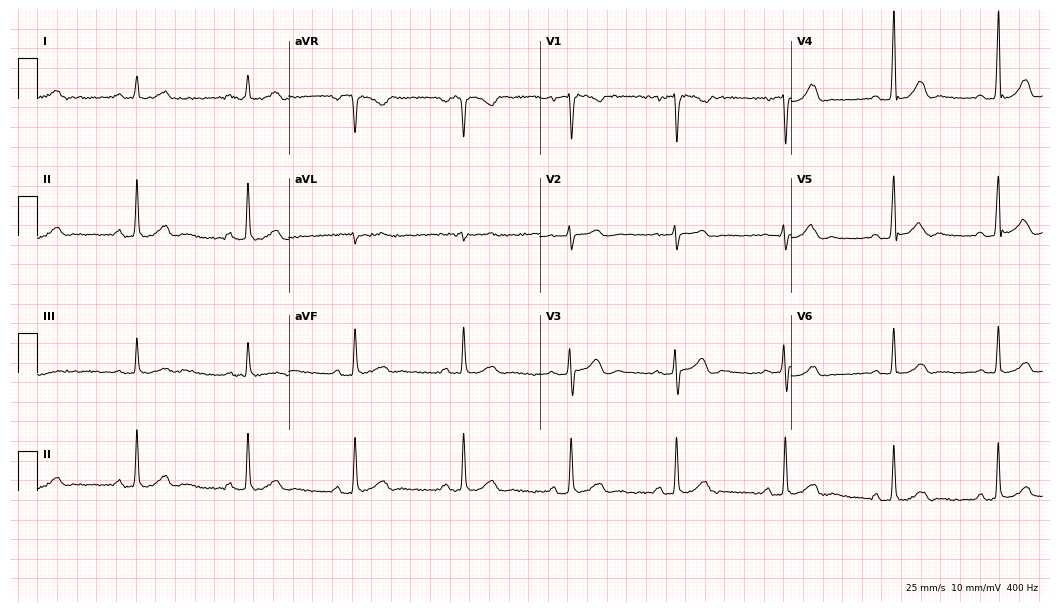
12-lead ECG from a 26-year-old man. Recorded interpretation: within normal limits.